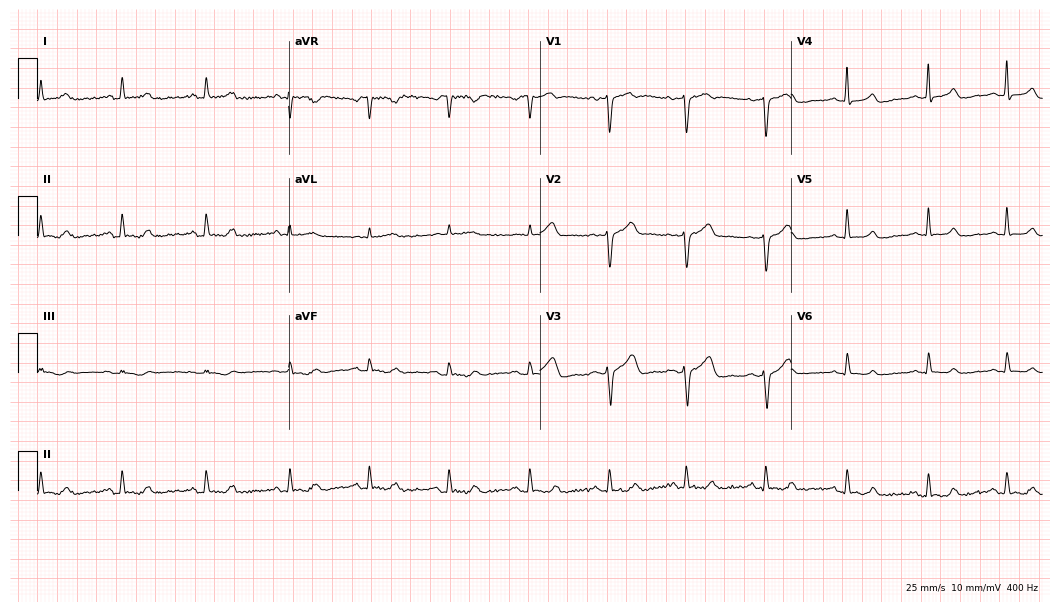
ECG — a female, 42 years old. Screened for six findings — first-degree AV block, right bundle branch block, left bundle branch block, sinus bradycardia, atrial fibrillation, sinus tachycardia — none is recorded.